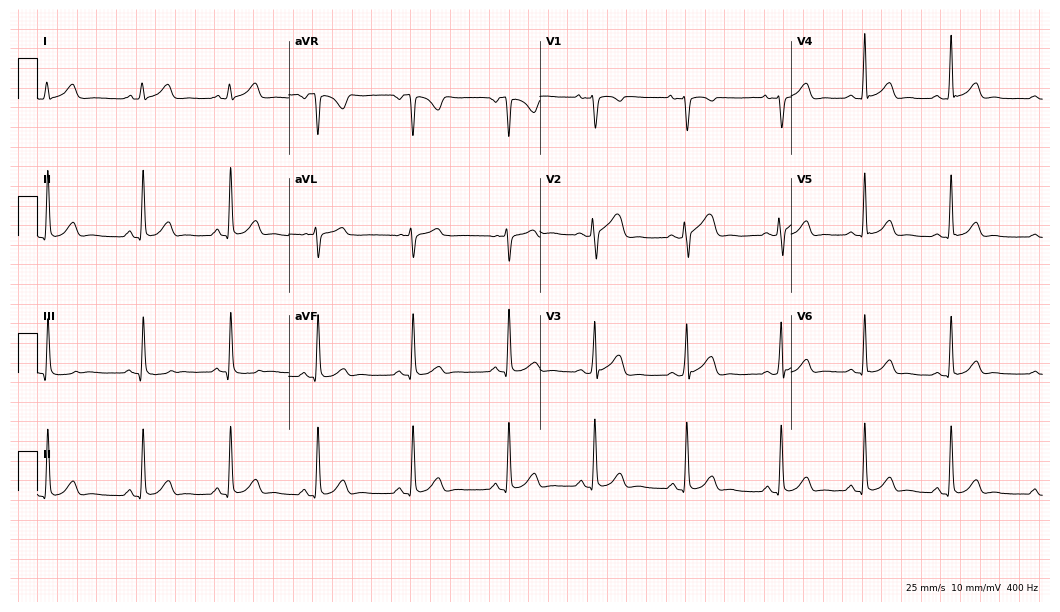
Resting 12-lead electrocardiogram. Patient: a 26-year-old woman. None of these six findings is recorded: first-degree AV block, right bundle branch block, left bundle branch block, sinus bradycardia, atrial fibrillation, sinus tachycardia.